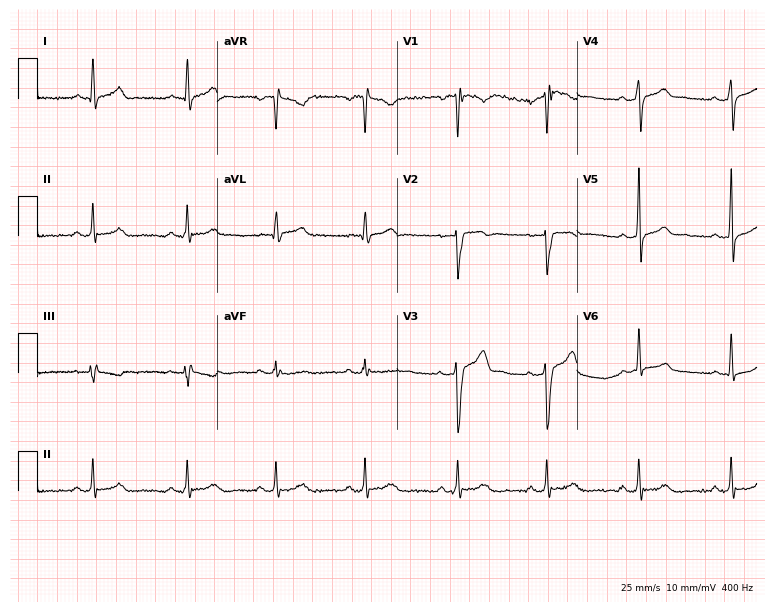
Standard 12-lead ECG recorded from a 24-year-old man. None of these six findings is recorded: first-degree AV block, right bundle branch block (RBBB), left bundle branch block (LBBB), sinus bradycardia, atrial fibrillation (AF), sinus tachycardia.